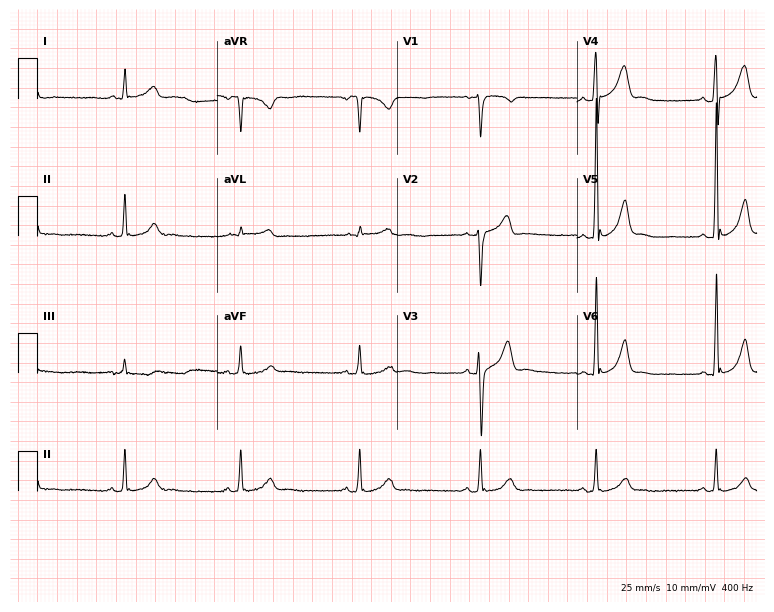
12-lead ECG from a male patient, 44 years old. Labelled as a normal ECG.